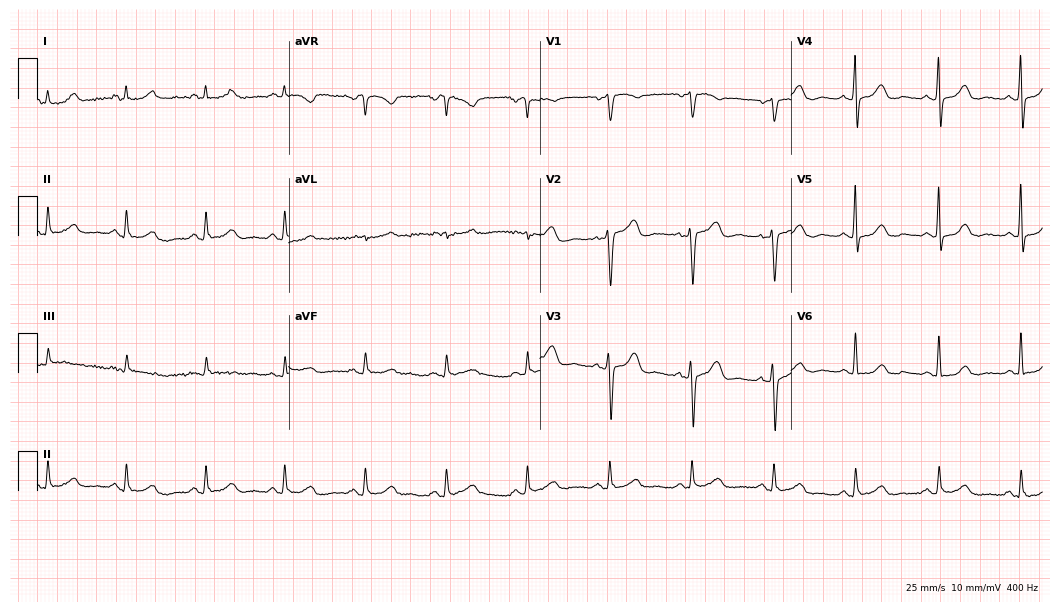
Electrocardiogram, a female, 69 years old. Overall reading on record: normal ECG.